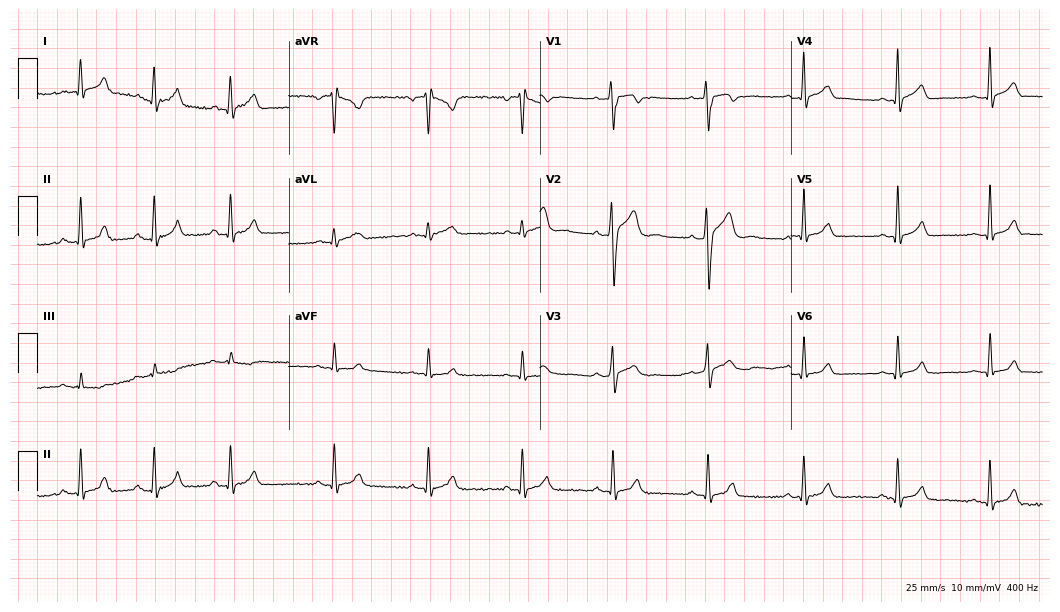
Resting 12-lead electrocardiogram. Patient: a 25-year-old male. Read as a normal ECG.